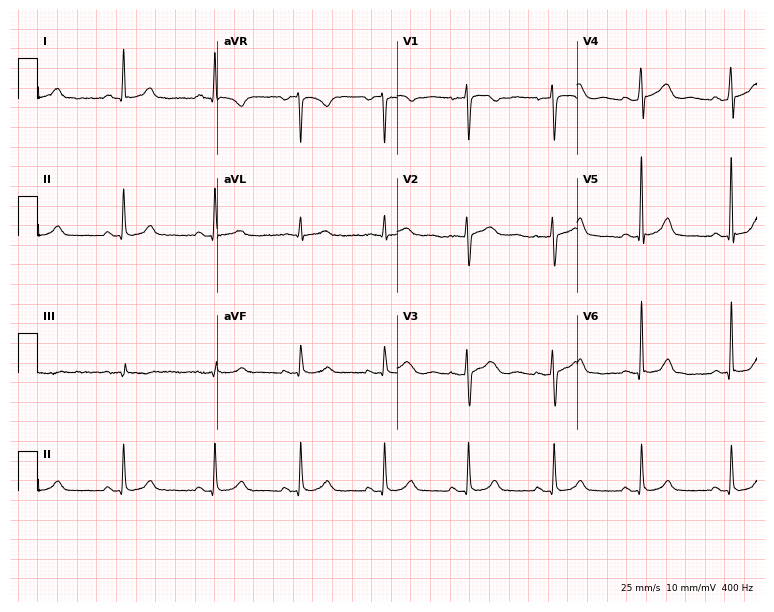
ECG (7.3-second recording at 400 Hz) — a 52-year-old female. Labelled as a normal ECG.